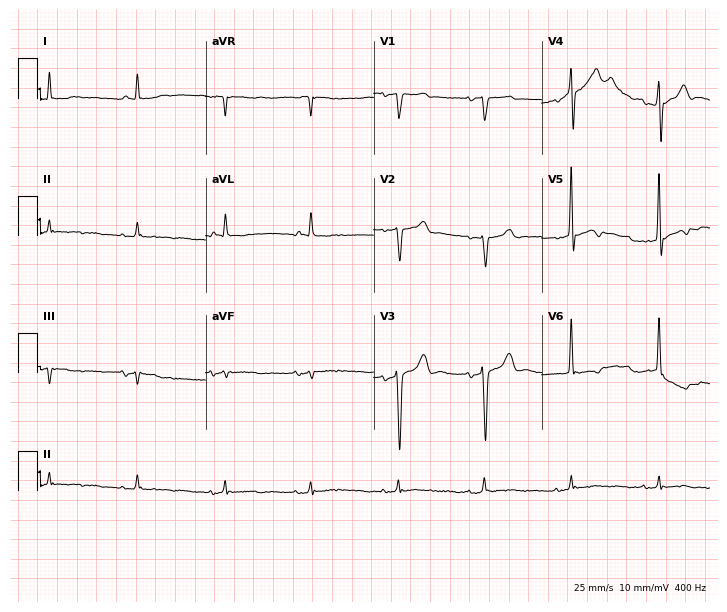
Resting 12-lead electrocardiogram (6.9-second recording at 400 Hz). Patient: a male, 84 years old. None of these six findings is recorded: first-degree AV block, right bundle branch block, left bundle branch block, sinus bradycardia, atrial fibrillation, sinus tachycardia. Only these six findings were labelled.